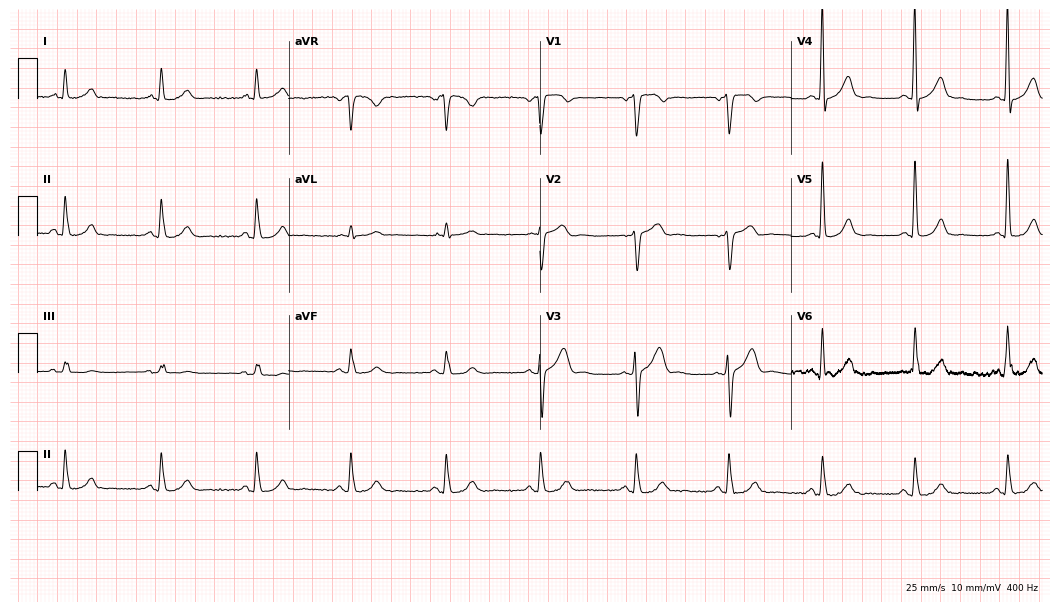
Electrocardiogram, a male patient, 62 years old. Overall reading on record: normal ECG.